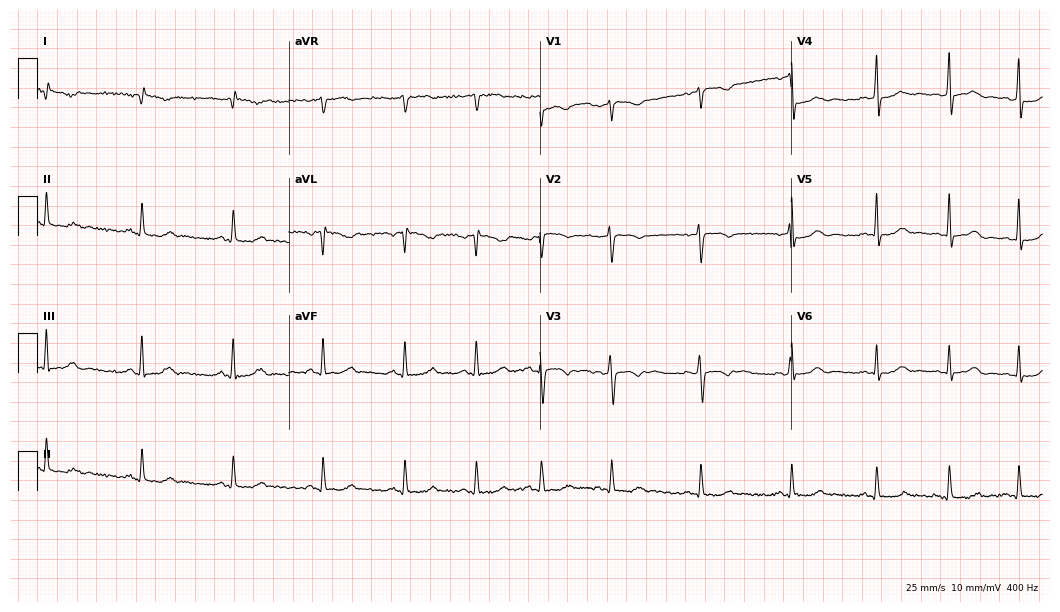
ECG — a woman, 26 years old. Screened for six findings — first-degree AV block, right bundle branch block, left bundle branch block, sinus bradycardia, atrial fibrillation, sinus tachycardia — none is recorded. Only these six findings were labelled.